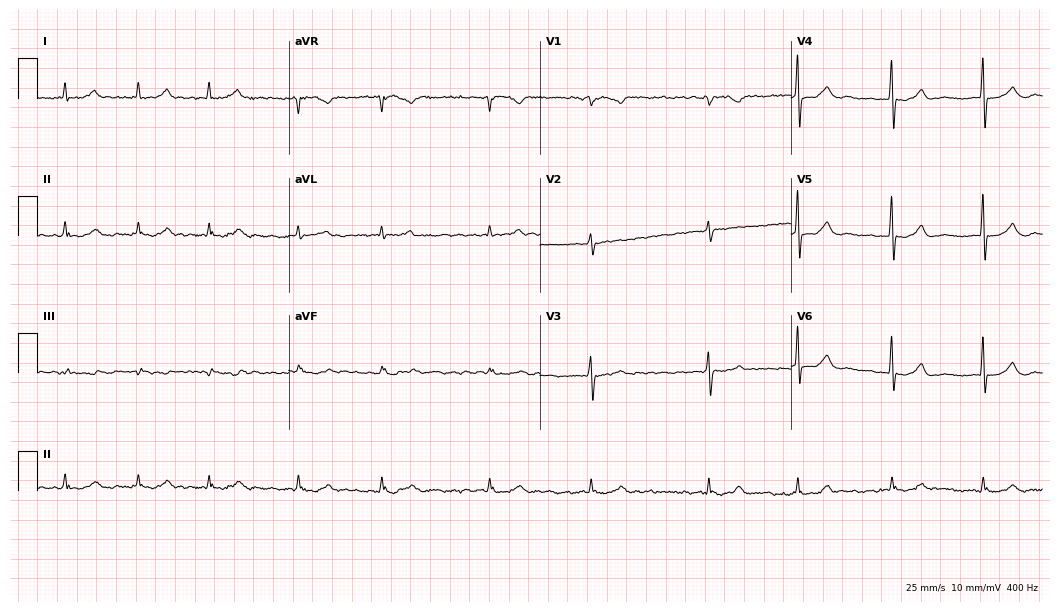
12-lead ECG from a female patient, 78 years old (10.2-second recording at 400 Hz). Shows atrial fibrillation (AF).